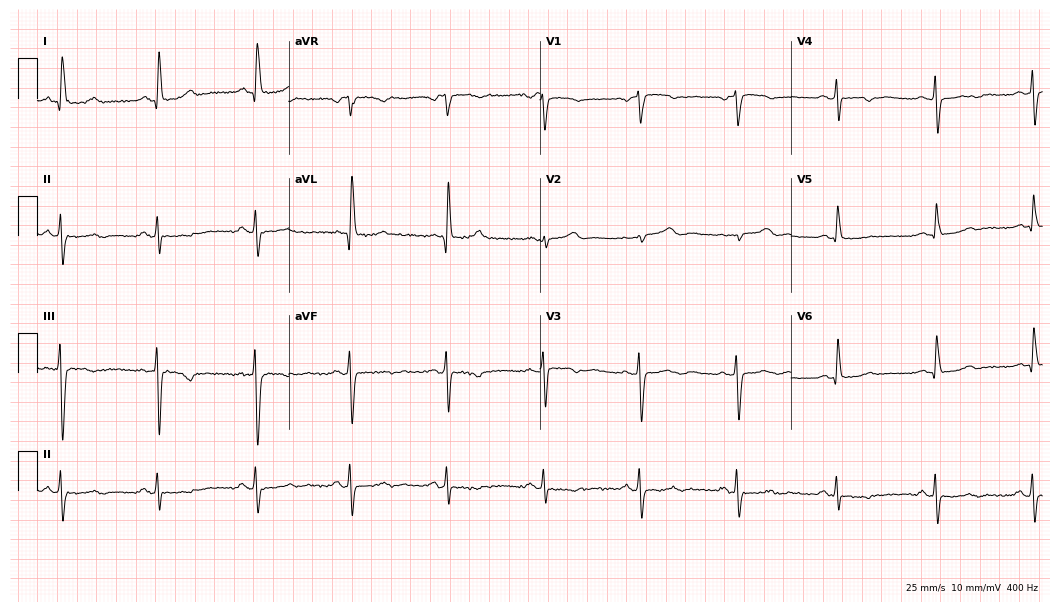
12-lead ECG (10.2-second recording at 400 Hz) from a female patient, 67 years old. Screened for six findings — first-degree AV block, right bundle branch block, left bundle branch block, sinus bradycardia, atrial fibrillation, sinus tachycardia — none is recorded.